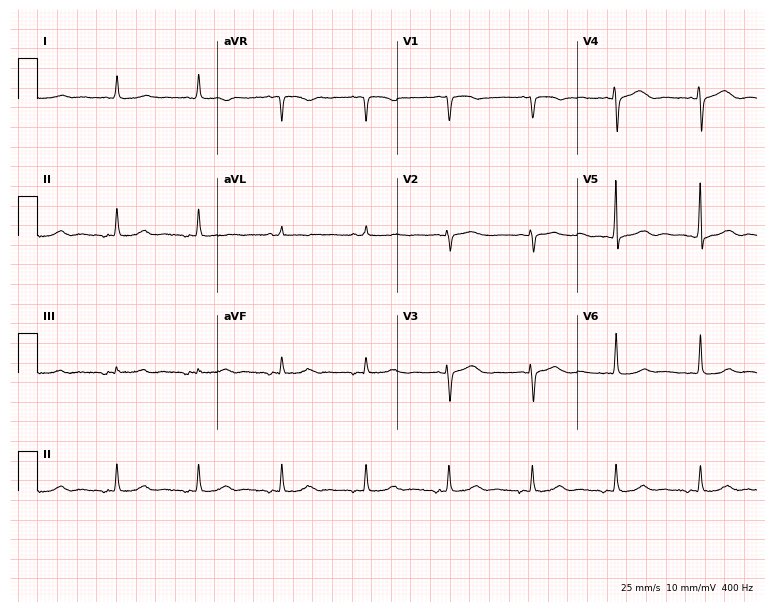
ECG (7.3-second recording at 400 Hz) — an 81-year-old woman. Screened for six findings — first-degree AV block, right bundle branch block, left bundle branch block, sinus bradycardia, atrial fibrillation, sinus tachycardia — none is recorded.